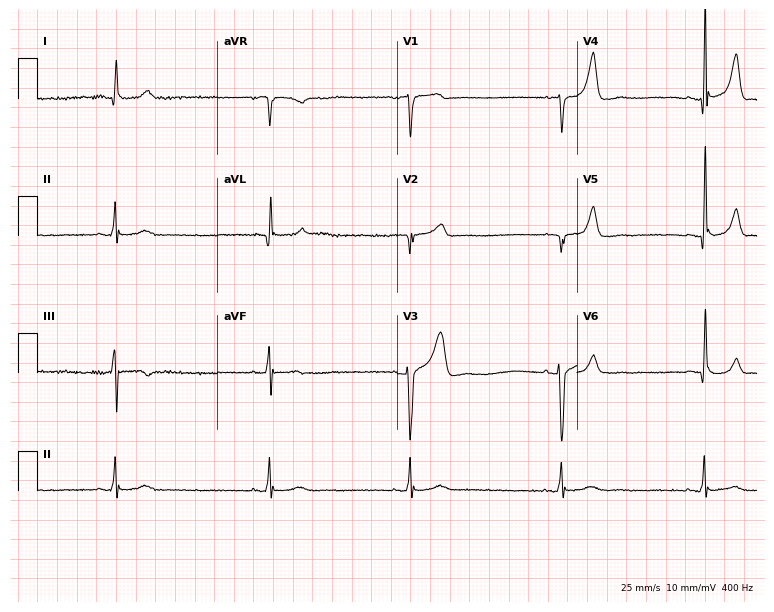
Standard 12-lead ECG recorded from a male, 63 years old (7.3-second recording at 400 Hz). The tracing shows sinus bradycardia (a sinus rate of 50 beats per minute or less).